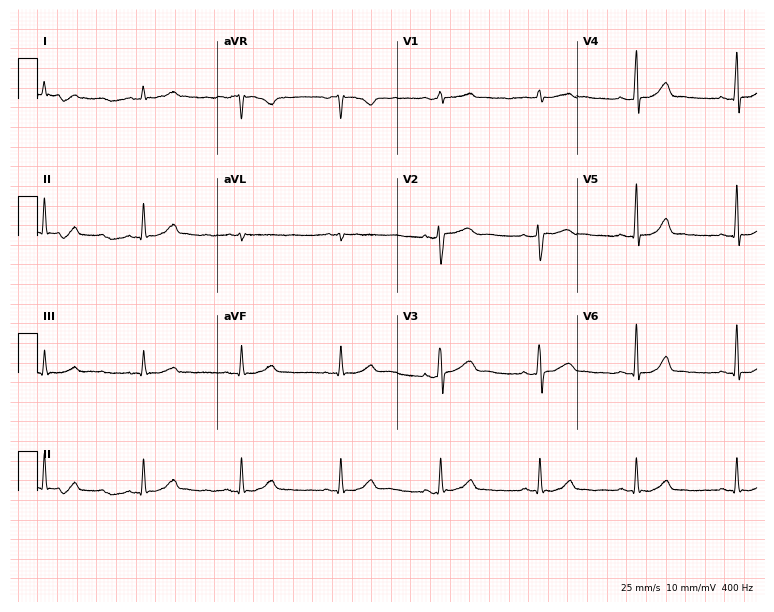
12-lead ECG from a female patient, 43 years old. No first-degree AV block, right bundle branch block, left bundle branch block, sinus bradycardia, atrial fibrillation or sinus tachycardia recorded for this tracing.